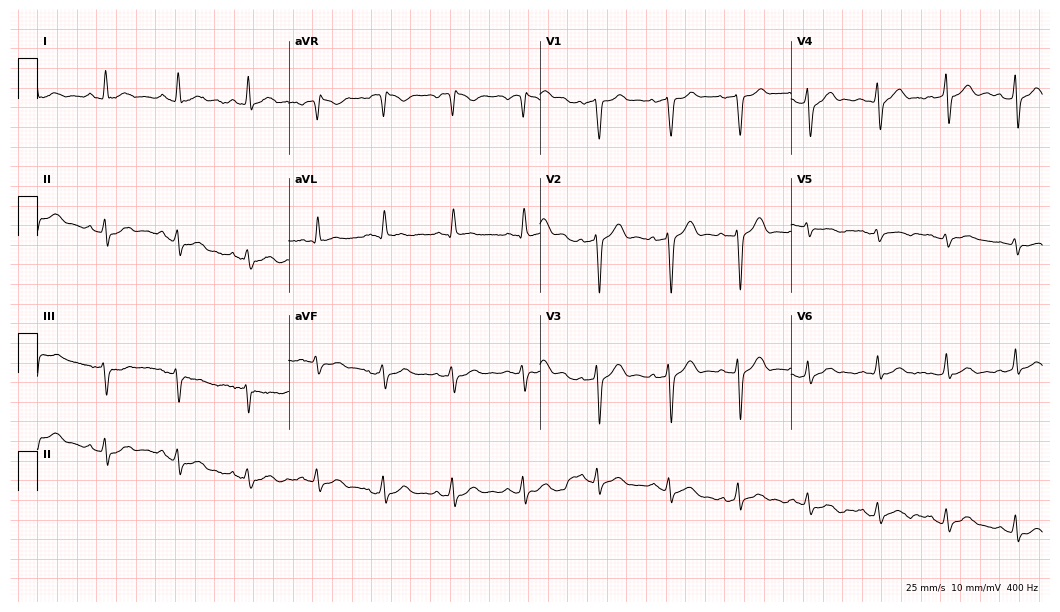
12-lead ECG (10.2-second recording at 400 Hz) from a man, 62 years old. Labelled as a normal ECG.